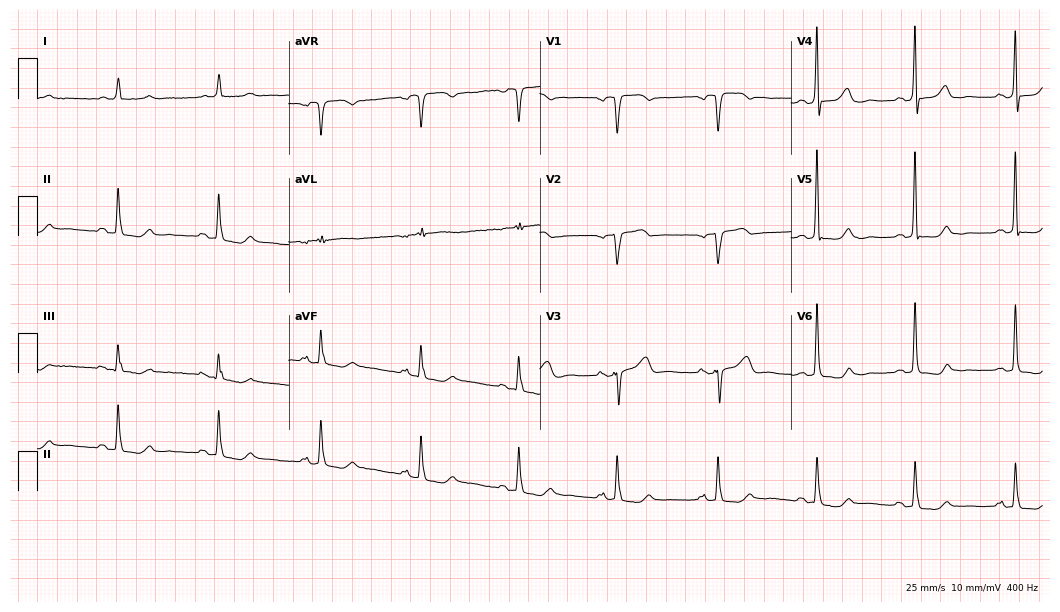
12-lead ECG (10.2-second recording at 400 Hz) from a 75-year-old woman. Screened for six findings — first-degree AV block, right bundle branch block, left bundle branch block, sinus bradycardia, atrial fibrillation, sinus tachycardia — none is recorded.